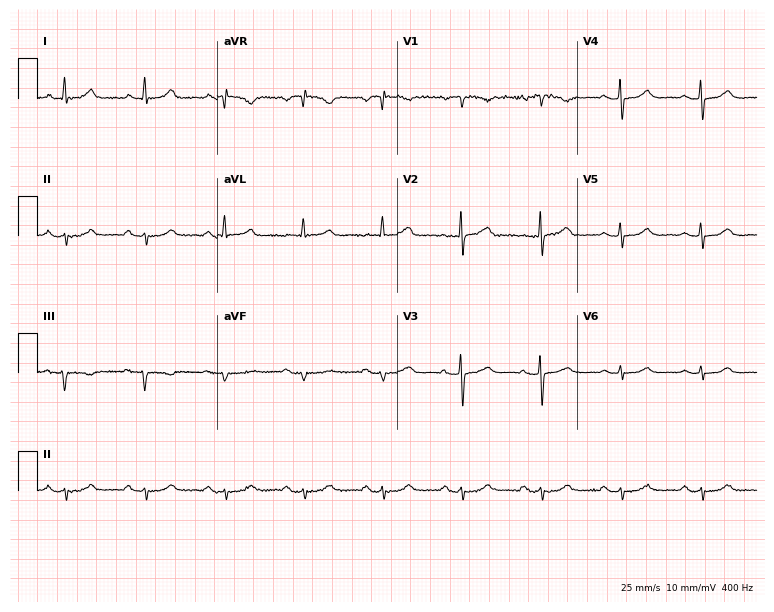
ECG — a 77-year-old female. Labelled as a normal ECG.